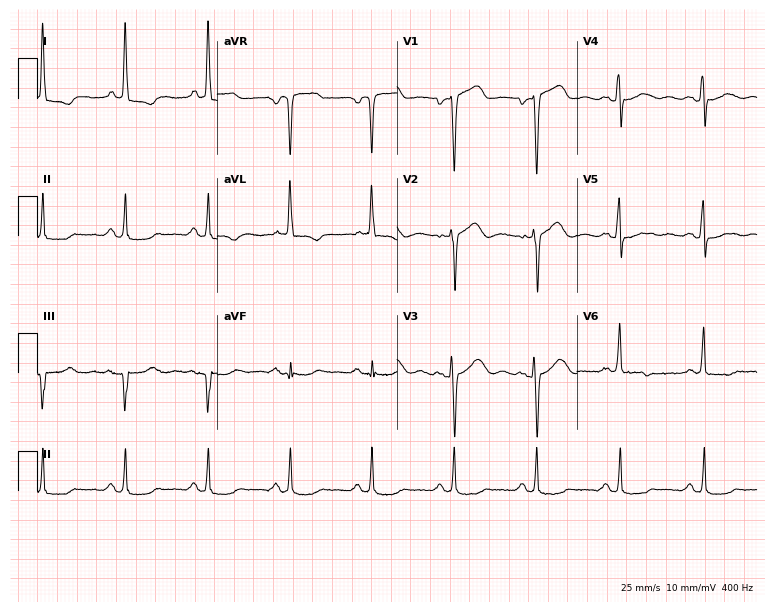
Resting 12-lead electrocardiogram (7.3-second recording at 400 Hz). Patient: a 53-year-old male. None of these six findings is recorded: first-degree AV block, right bundle branch block, left bundle branch block, sinus bradycardia, atrial fibrillation, sinus tachycardia.